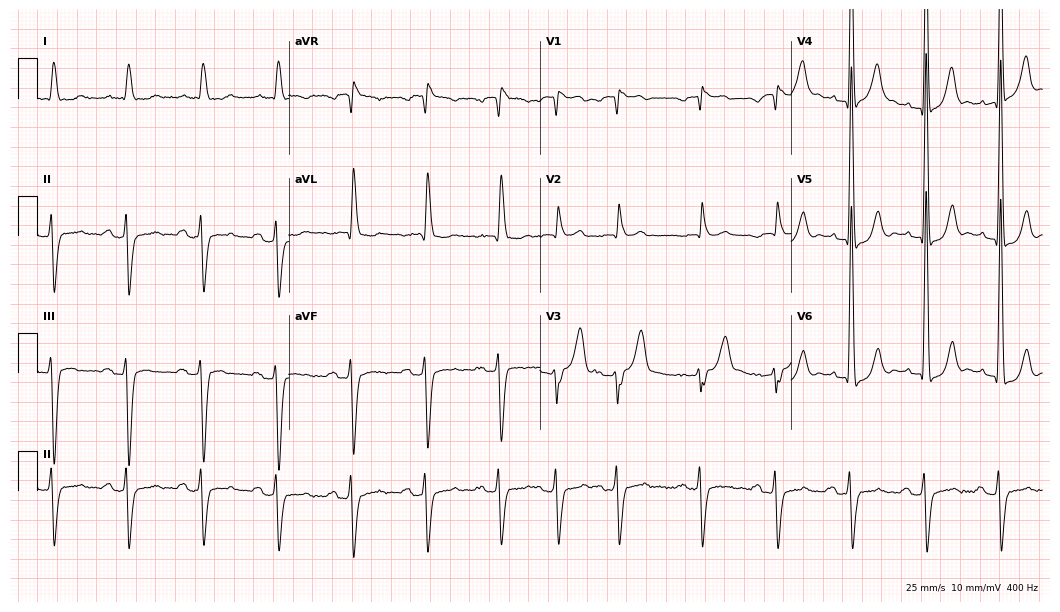
Electrocardiogram (10.2-second recording at 400 Hz), a man, 70 years old. Interpretation includes first-degree AV block, left bundle branch block.